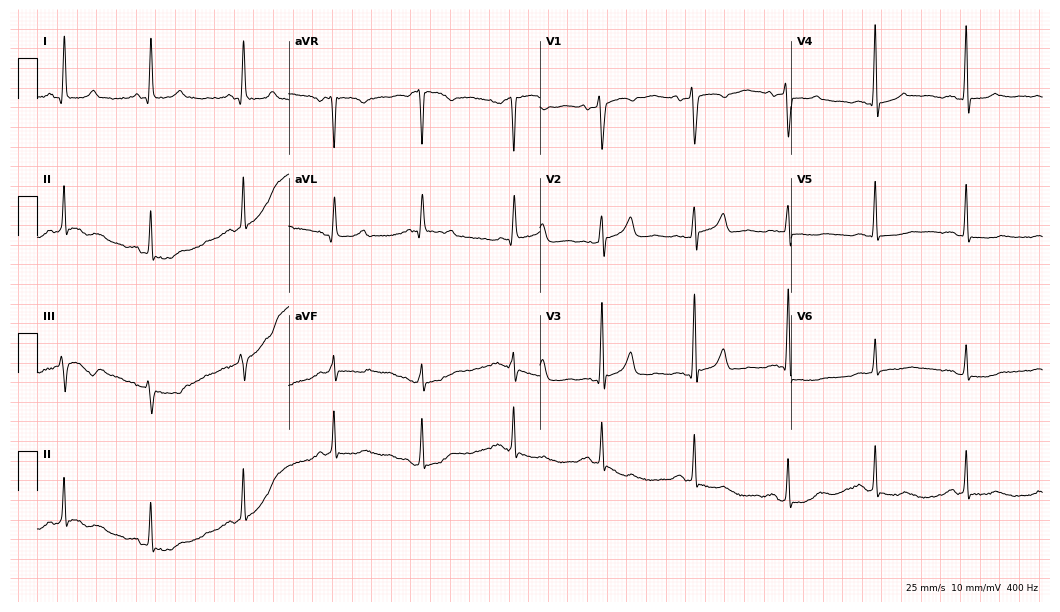
Resting 12-lead electrocardiogram (10.2-second recording at 400 Hz). Patient: a 59-year-old woman. None of these six findings is recorded: first-degree AV block, right bundle branch block (RBBB), left bundle branch block (LBBB), sinus bradycardia, atrial fibrillation (AF), sinus tachycardia.